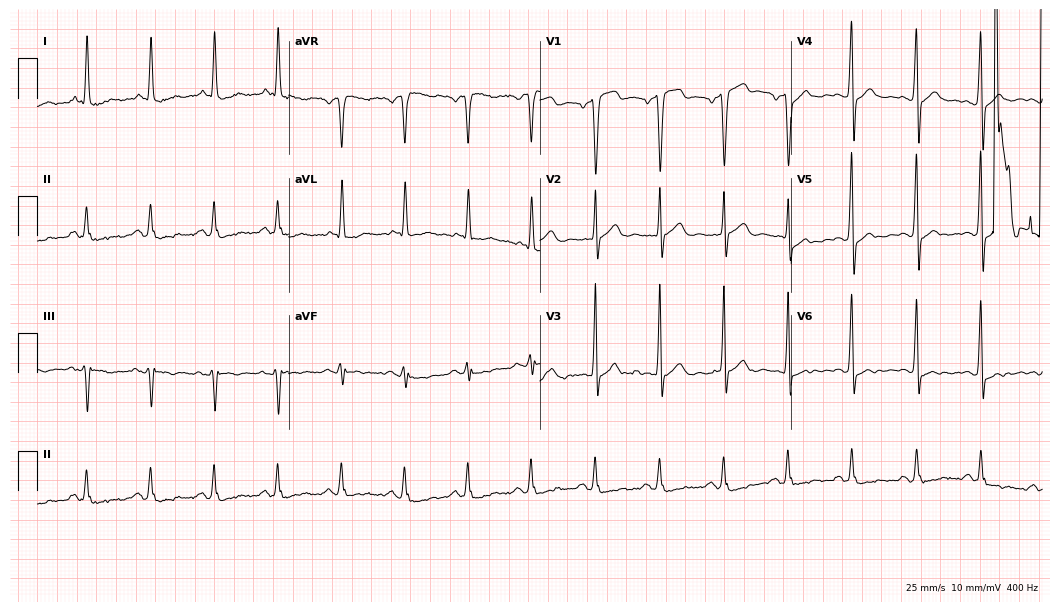
12-lead ECG from a male patient, 82 years old. No first-degree AV block, right bundle branch block, left bundle branch block, sinus bradycardia, atrial fibrillation or sinus tachycardia recorded for this tracing.